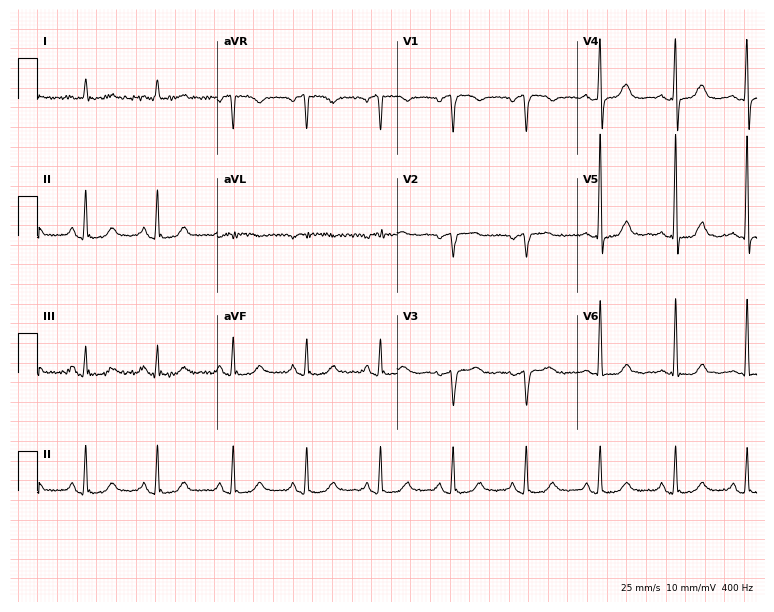
Resting 12-lead electrocardiogram. Patient: a 53-year-old woman. Read as a normal ECG.